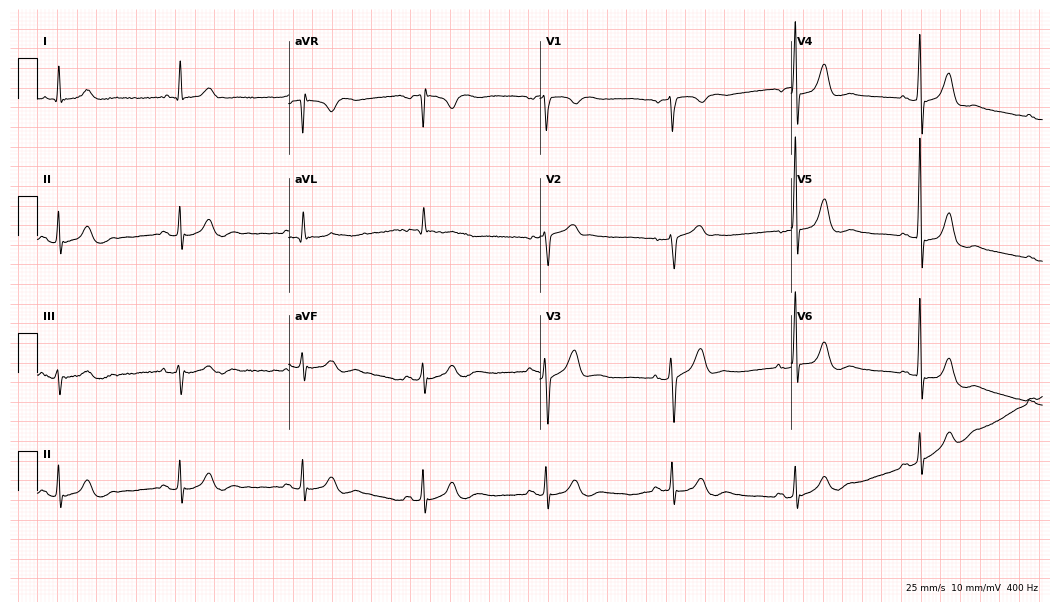
12-lead ECG from an 82-year-old man (10.2-second recording at 400 Hz). Recorded interpretation: within normal limits.